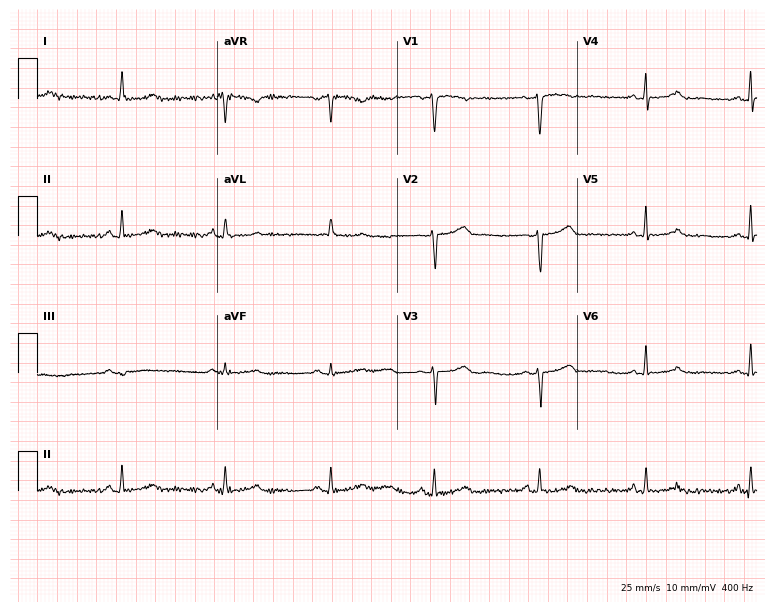
12-lead ECG from a woman, 40 years old (7.3-second recording at 400 Hz). Recorded interpretation: within normal limits.